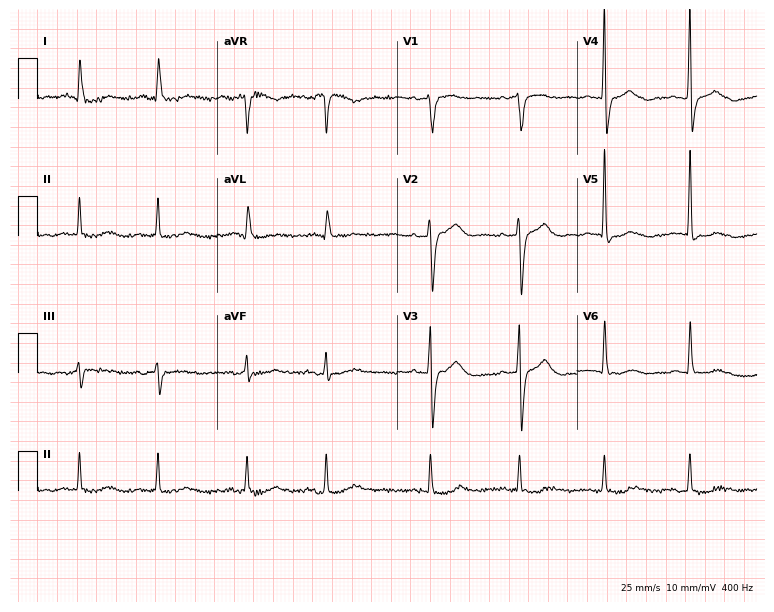
Standard 12-lead ECG recorded from a female patient, 79 years old. None of these six findings is recorded: first-degree AV block, right bundle branch block, left bundle branch block, sinus bradycardia, atrial fibrillation, sinus tachycardia. Other findings, if any, are not listed.